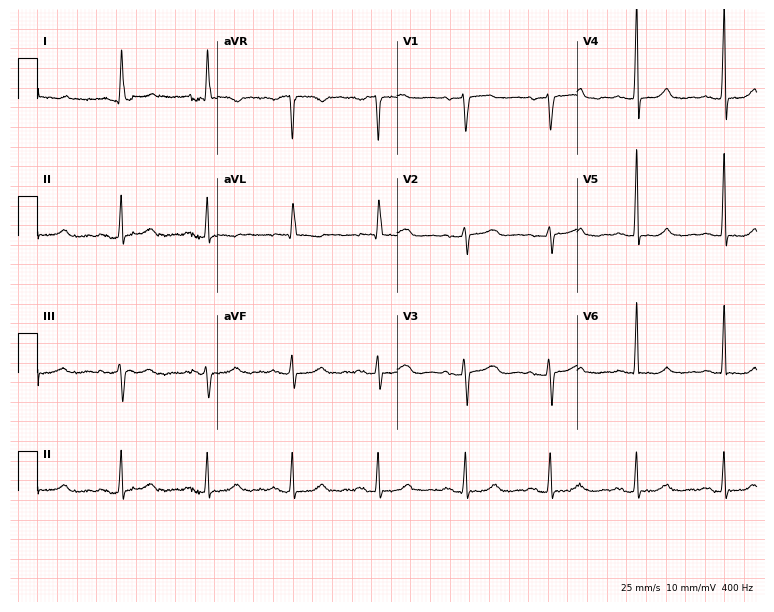
12-lead ECG (7.3-second recording at 400 Hz) from a 63-year-old woman. Screened for six findings — first-degree AV block, right bundle branch block, left bundle branch block, sinus bradycardia, atrial fibrillation, sinus tachycardia — none is recorded.